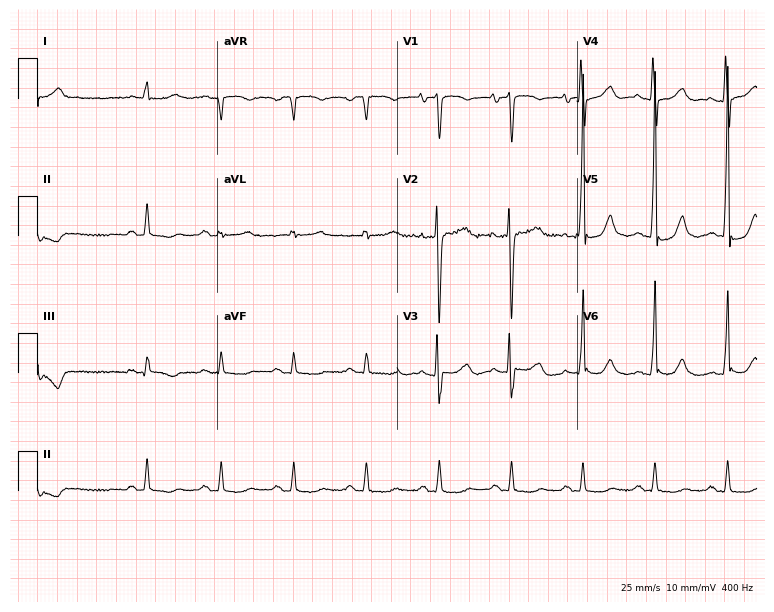
Standard 12-lead ECG recorded from a man, 84 years old (7.3-second recording at 400 Hz). None of these six findings is recorded: first-degree AV block, right bundle branch block (RBBB), left bundle branch block (LBBB), sinus bradycardia, atrial fibrillation (AF), sinus tachycardia.